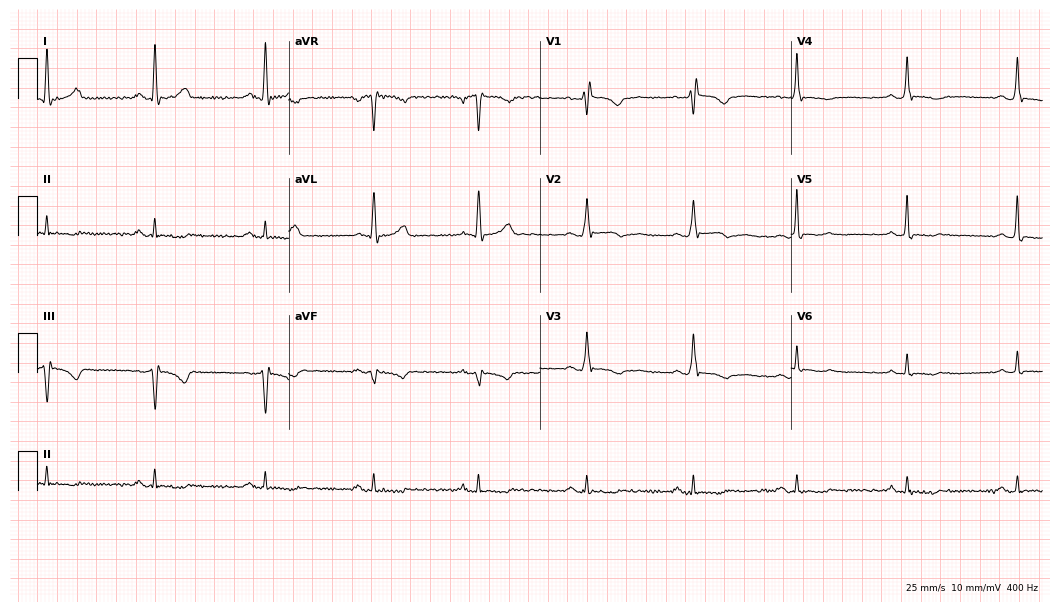
ECG (10.2-second recording at 400 Hz) — a 55-year-old woman. Screened for six findings — first-degree AV block, right bundle branch block, left bundle branch block, sinus bradycardia, atrial fibrillation, sinus tachycardia — none is recorded. Only these six findings were labelled.